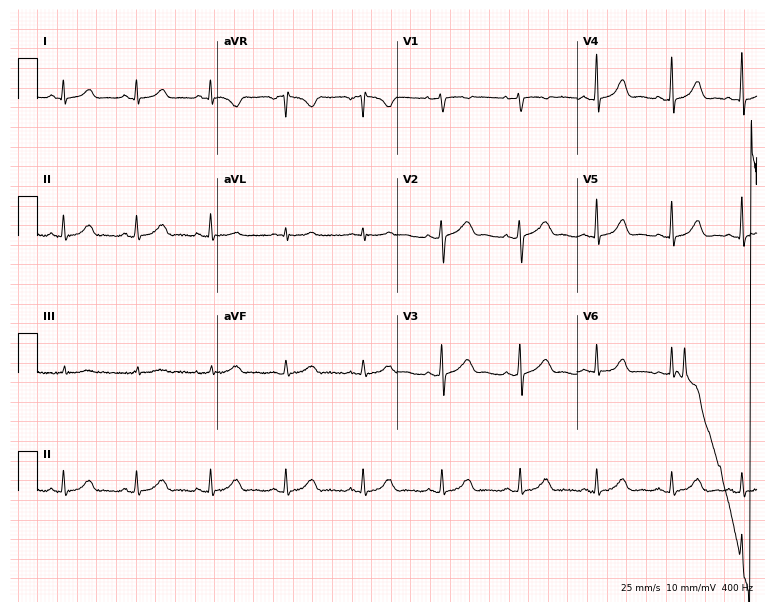
Standard 12-lead ECG recorded from a 44-year-old female patient. Read as a normal ECG.